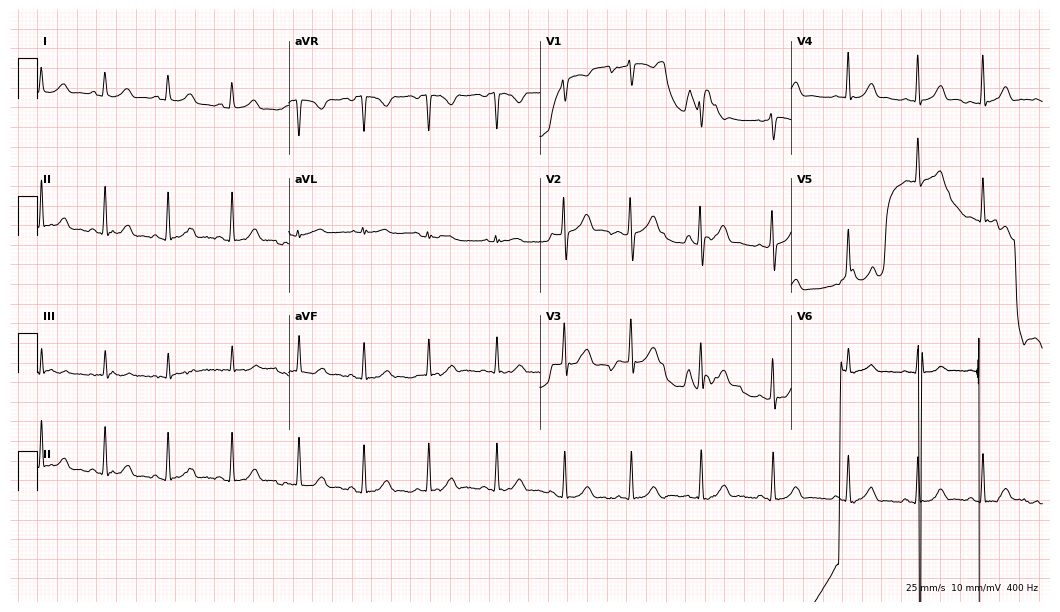
12-lead ECG from a female, 24 years old. Screened for six findings — first-degree AV block, right bundle branch block, left bundle branch block, sinus bradycardia, atrial fibrillation, sinus tachycardia — none is recorded.